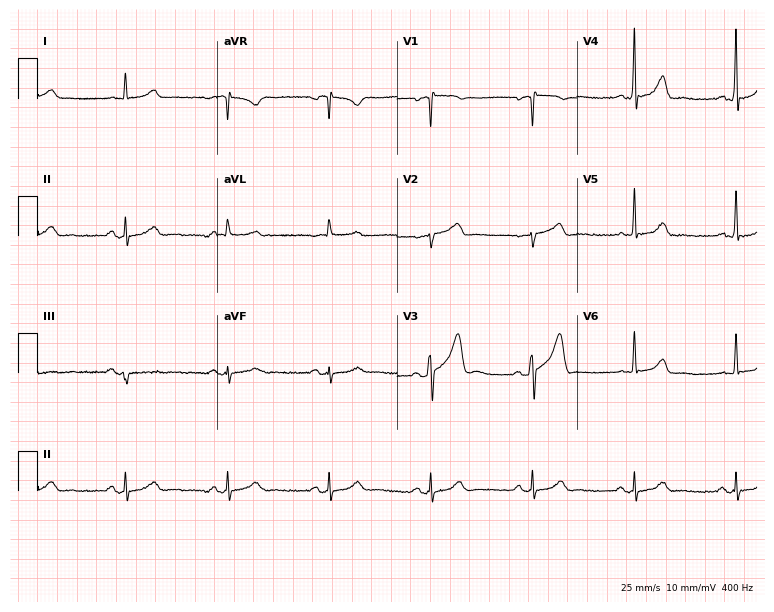
Resting 12-lead electrocardiogram (7.3-second recording at 400 Hz). Patient: a 73-year-old man. None of these six findings is recorded: first-degree AV block, right bundle branch block, left bundle branch block, sinus bradycardia, atrial fibrillation, sinus tachycardia. Only these six findings were labelled.